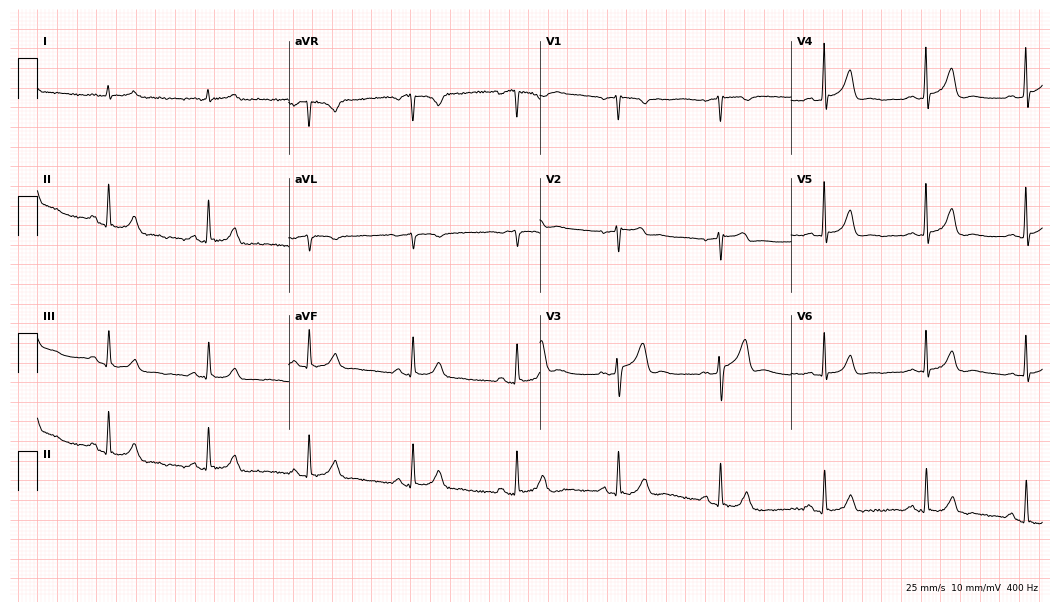
12-lead ECG from a male, 56 years old. No first-degree AV block, right bundle branch block (RBBB), left bundle branch block (LBBB), sinus bradycardia, atrial fibrillation (AF) or sinus tachycardia recorded for this tracing.